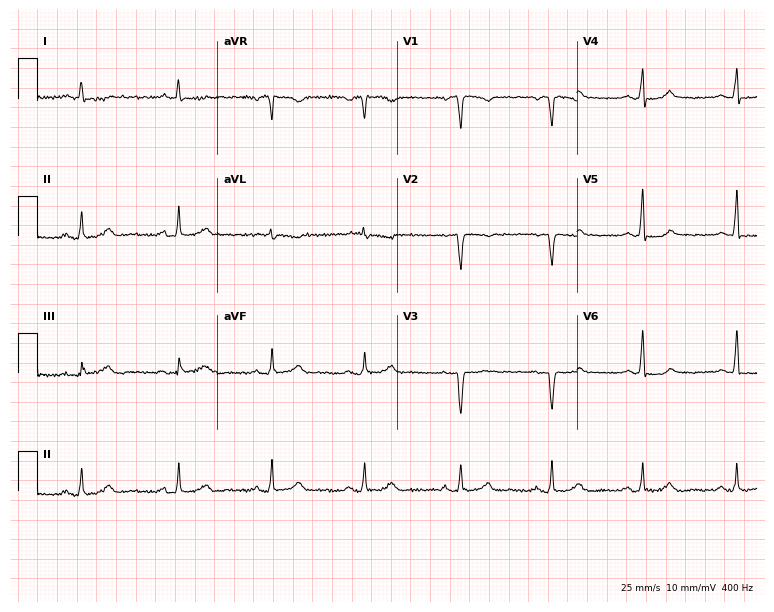
Standard 12-lead ECG recorded from a 56-year-old female. None of these six findings is recorded: first-degree AV block, right bundle branch block, left bundle branch block, sinus bradycardia, atrial fibrillation, sinus tachycardia.